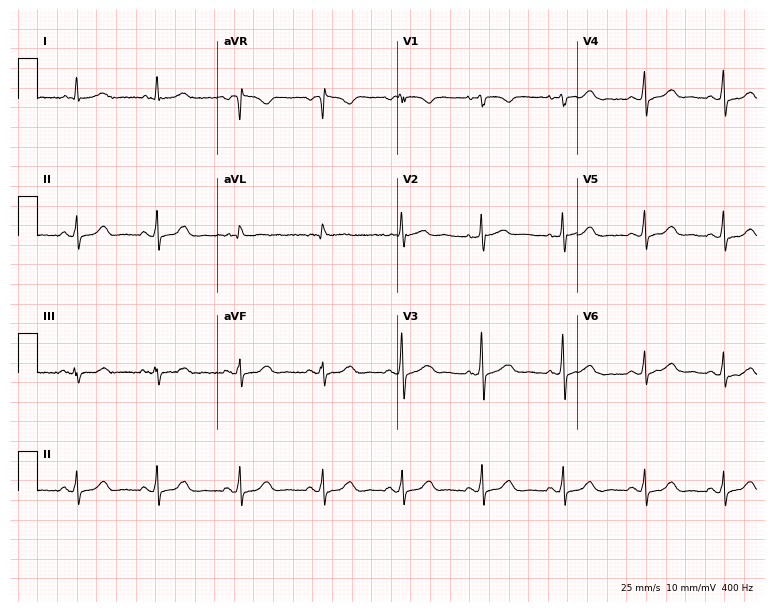
Resting 12-lead electrocardiogram (7.3-second recording at 400 Hz). Patient: a female, 63 years old. Read as a normal ECG.